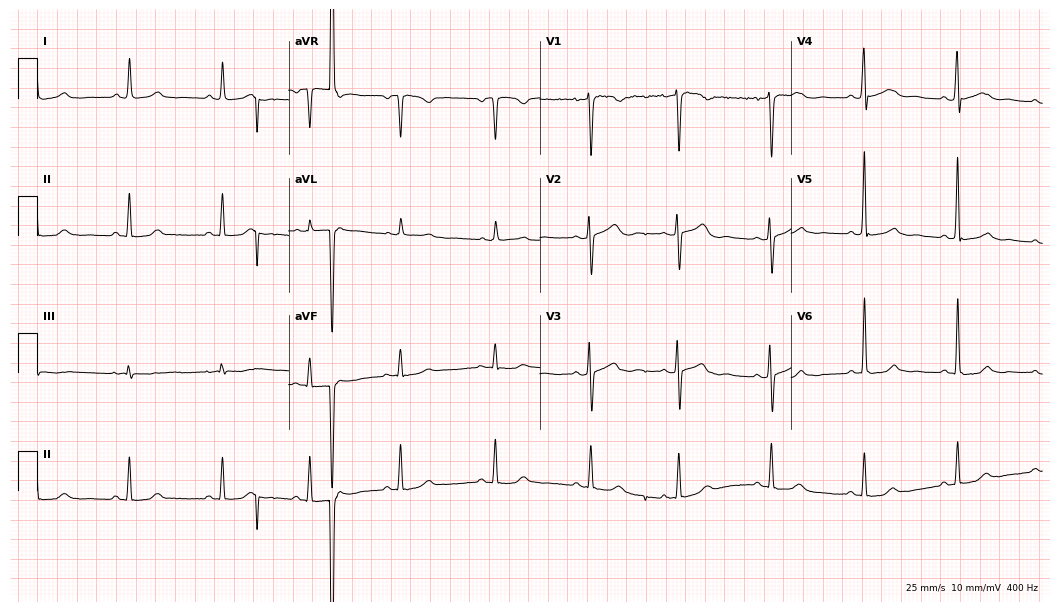
Electrocardiogram, a female, 53 years old. Overall reading on record: normal ECG.